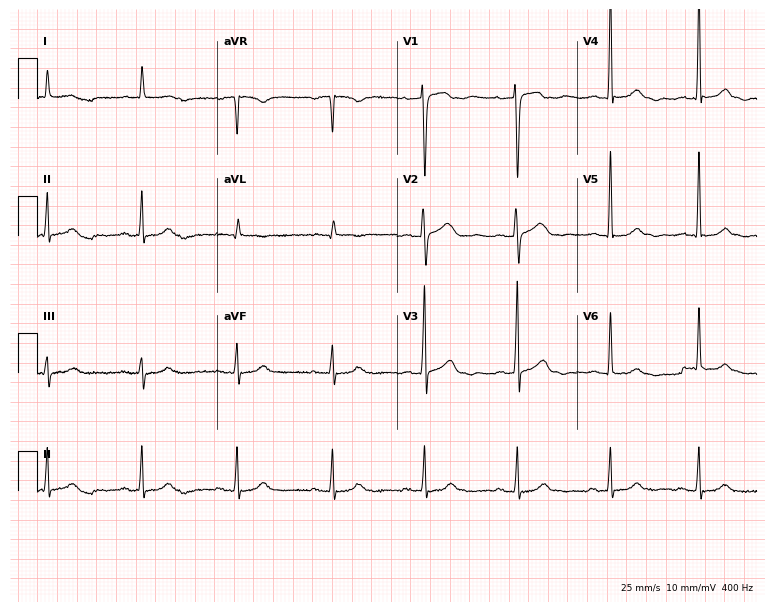
ECG (7.3-second recording at 400 Hz) — a woman, 62 years old. Screened for six findings — first-degree AV block, right bundle branch block (RBBB), left bundle branch block (LBBB), sinus bradycardia, atrial fibrillation (AF), sinus tachycardia — none is recorded. Other findings, if any, are not listed.